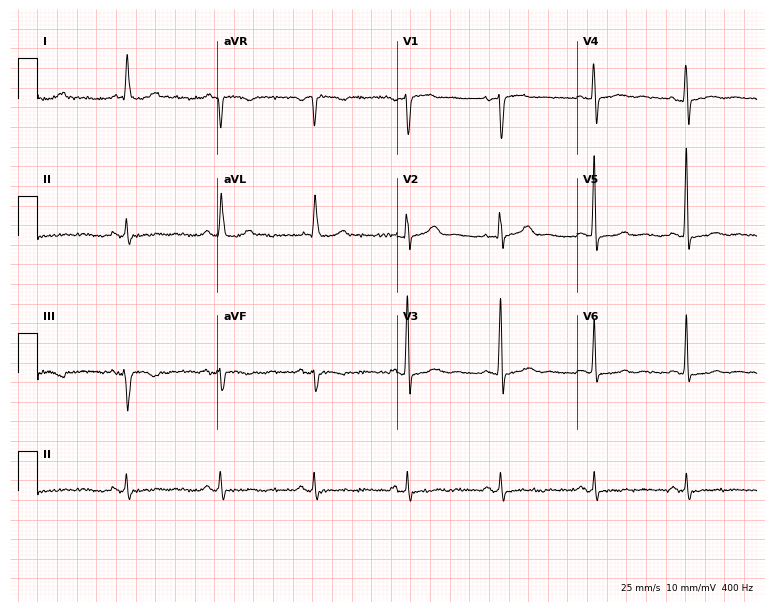
12-lead ECG (7.3-second recording at 400 Hz) from a 79-year-old female. Screened for six findings — first-degree AV block, right bundle branch block, left bundle branch block, sinus bradycardia, atrial fibrillation, sinus tachycardia — none is recorded.